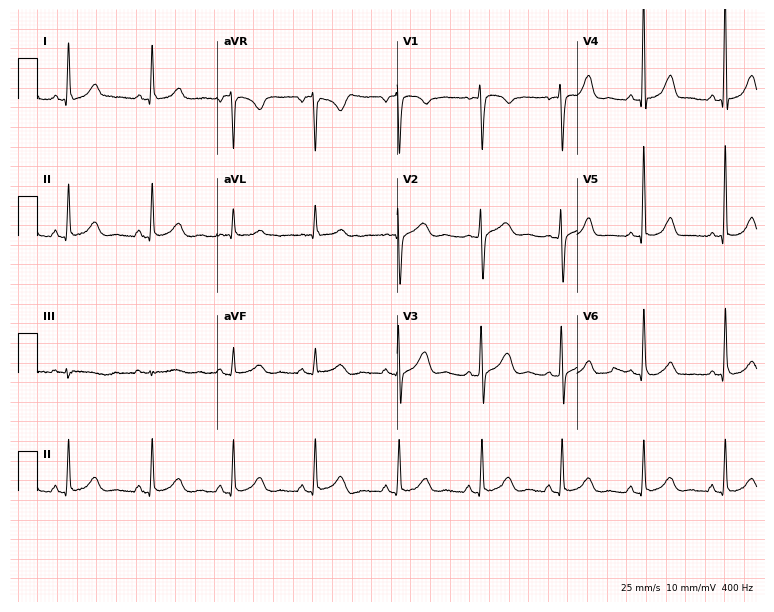
Electrocardiogram, a woman, 56 years old. Overall reading on record: normal ECG.